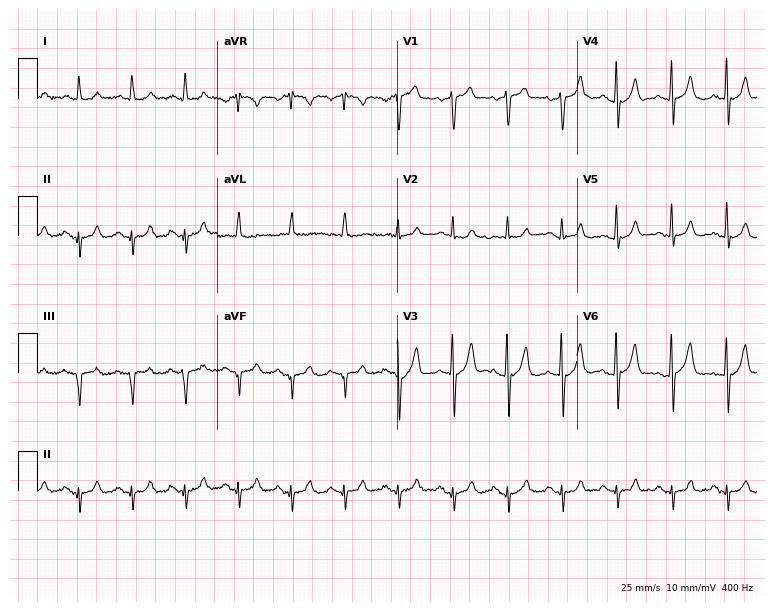
Electrocardiogram (7.3-second recording at 400 Hz), a 72-year-old male patient. Interpretation includes sinus tachycardia (a sinus rate of 100 beats per minute or more).